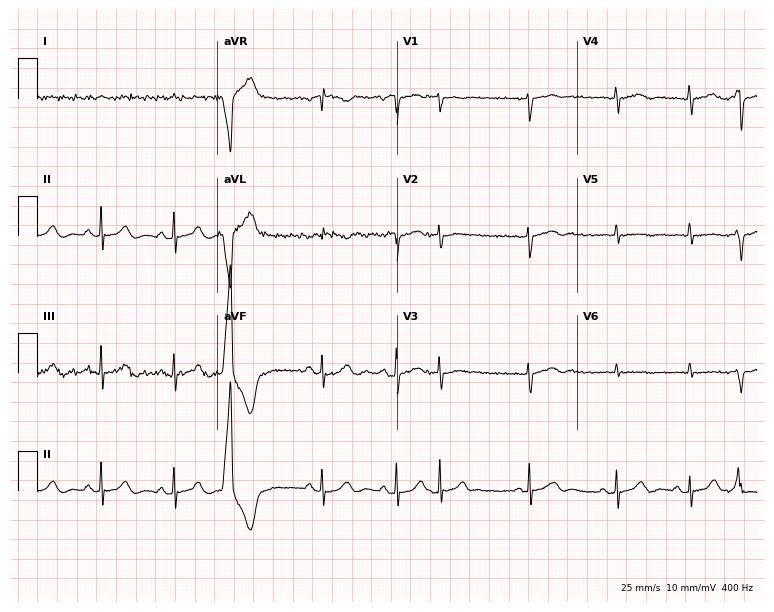
ECG (7.3-second recording at 400 Hz) — a man, 85 years old. Labelled as a normal ECG.